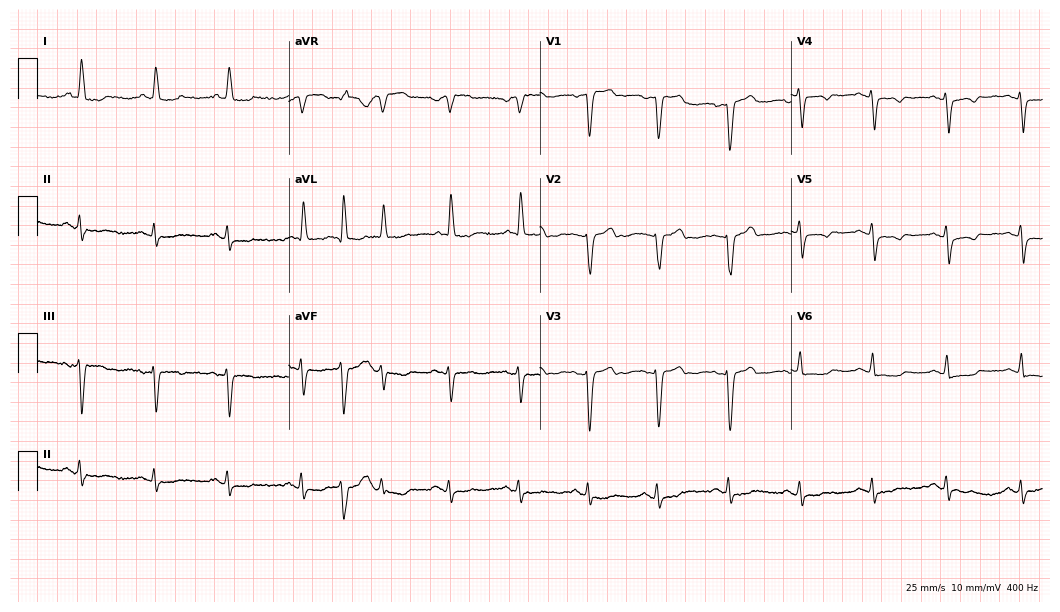
12-lead ECG from a female, 74 years old. Screened for six findings — first-degree AV block, right bundle branch block, left bundle branch block, sinus bradycardia, atrial fibrillation, sinus tachycardia — none is recorded.